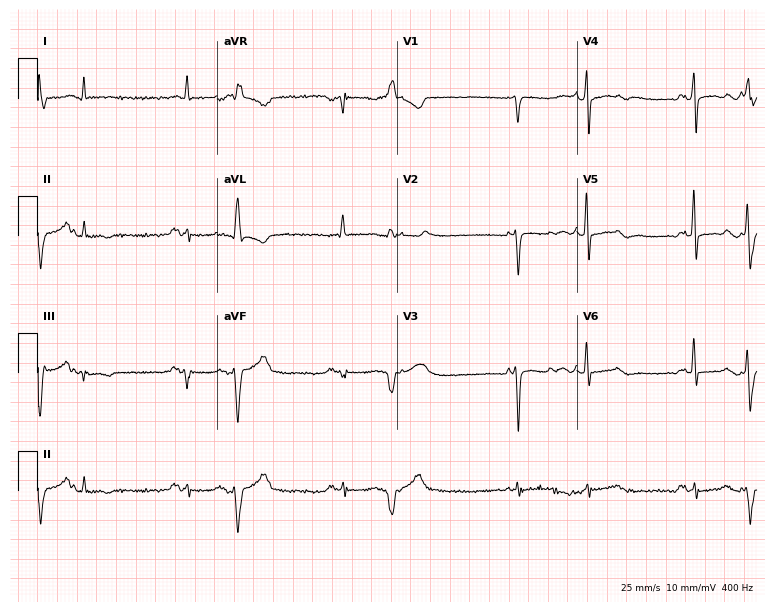
Standard 12-lead ECG recorded from a 79-year-old male (7.3-second recording at 400 Hz). None of these six findings is recorded: first-degree AV block, right bundle branch block, left bundle branch block, sinus bradycardia, atrial fibrillation, sinus tachycardia. Findings outside these six are not listed.